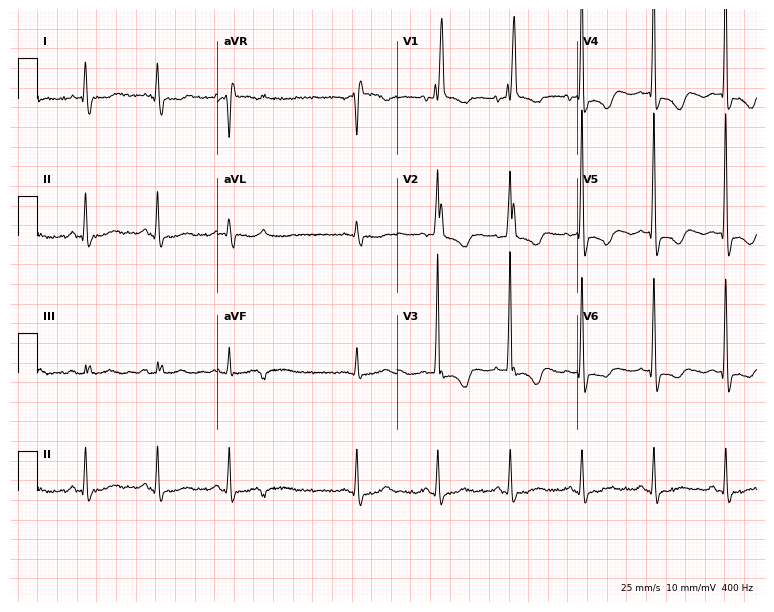
ECG (7.3-second recording at 400 Hz) — a woman, 82 years old. Findings include right bundle branch block.